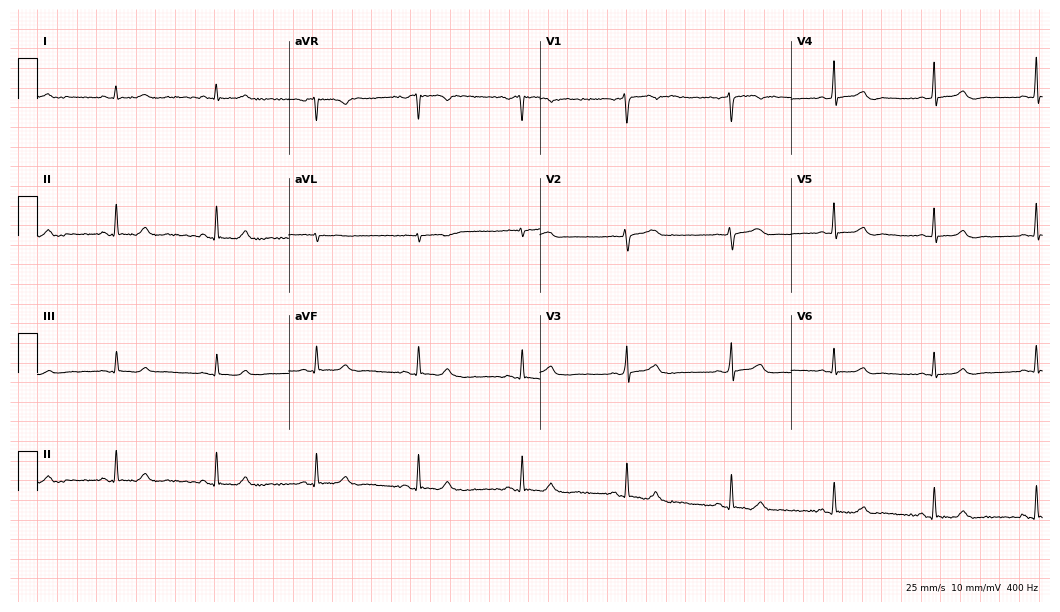
Resting 12-lead electrocardiogram. Patient: a female, 41 years old. Read as a normal ECG.